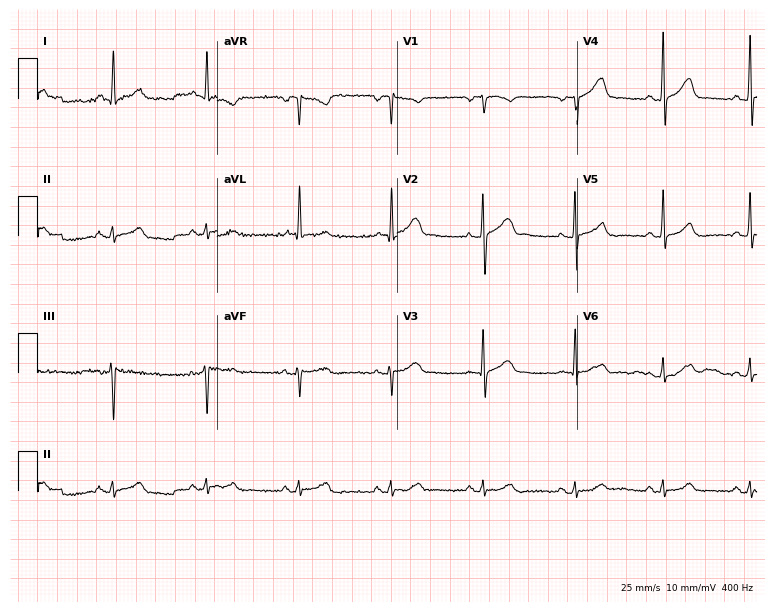
12-lead ECG from a male, 64 years old. Recorded interpretation: within normal limits.